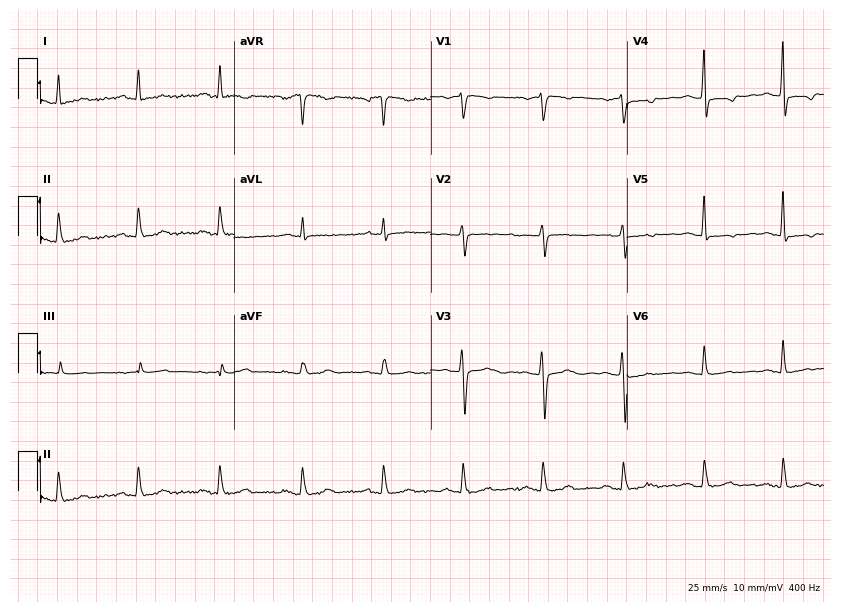
Electrocardiogram (8-second recording at 400 Hz), a female patient, 58 years old. Of the six screened findings (first-degree AV block, right bundle branch block (RBBB), left bundle branch block (LBBB), sinus bradycardia, atrial fibrillation (AF), sinus tachycardia), none is recorded. Only these six findings were labelled.